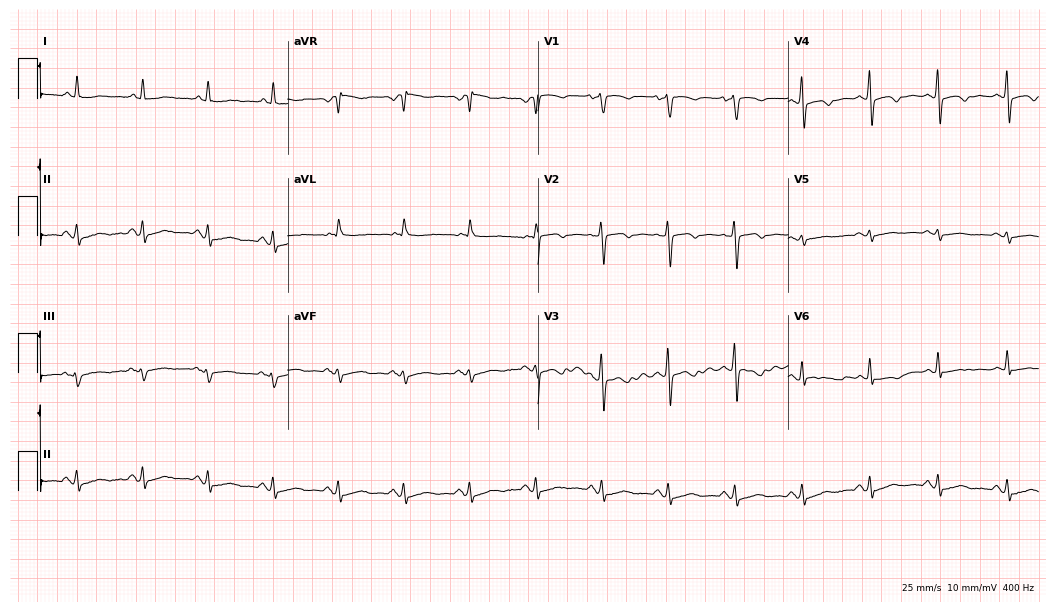
Resting 12-lead electrocardiogram. Patient: a female, 77 years old. None of these six findings is recorded: first-degree AV block, right bundle branch block, left bundle branch block, sinus bradycardia, atrial fibrillation, sinus tachycardia.